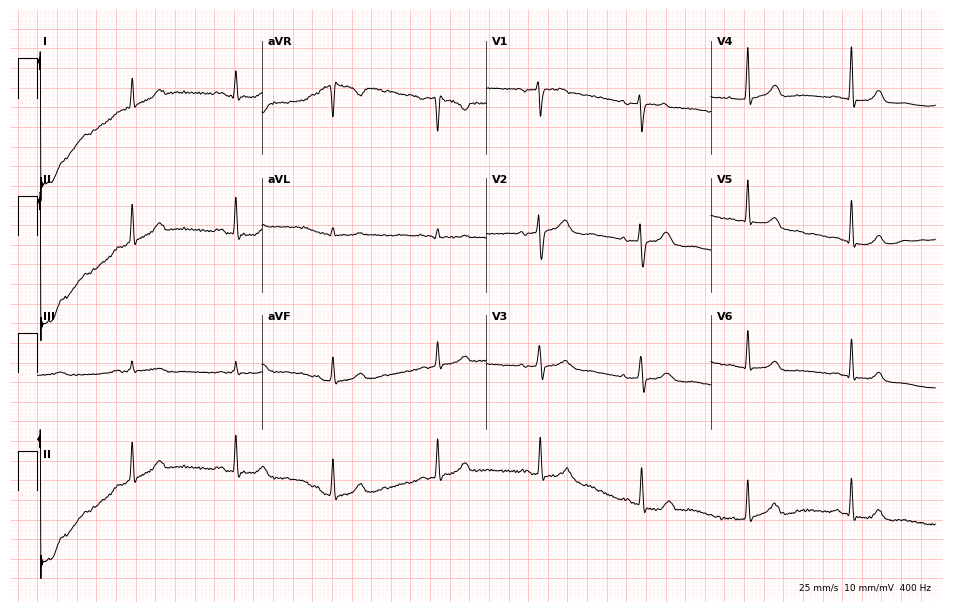
12-lead ECG from a woman, 36 years old. No first-degree AV block, right bundle branch block, left bundle branch block, sinus bradycardia, atrial fibrillation or sinus tachycardia recorded for this tracing. Only these six findings were labelled.